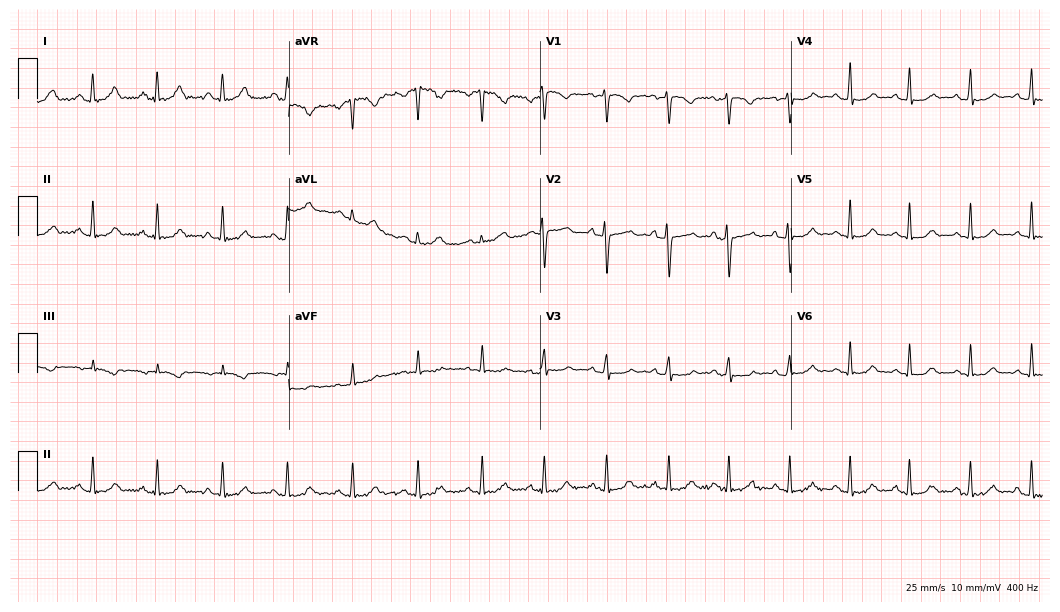
Standard 12-lead ECG recorded from a woman, 25 years old (10.2-second recording at 400 Hz). Read as a normal ECG.